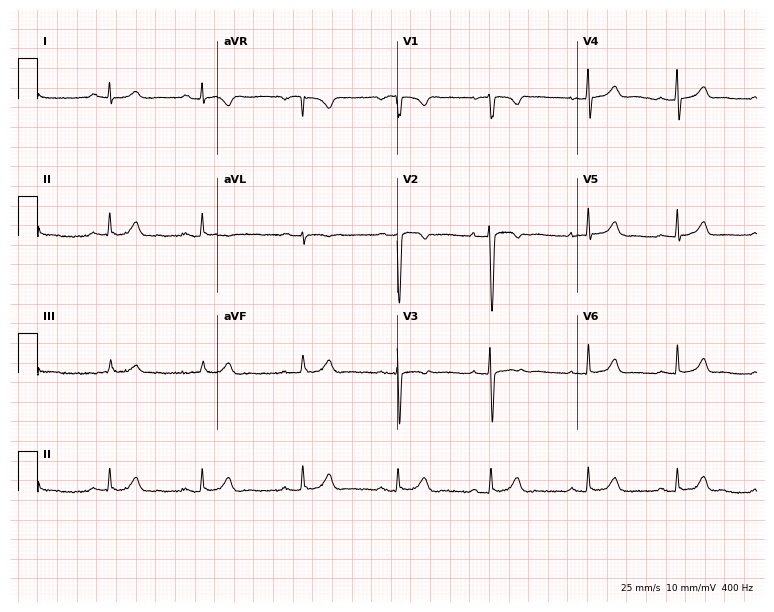
Resting 12-lead electrocardiogram. Patient: a 17-year-old female. Read as a normal ECG.